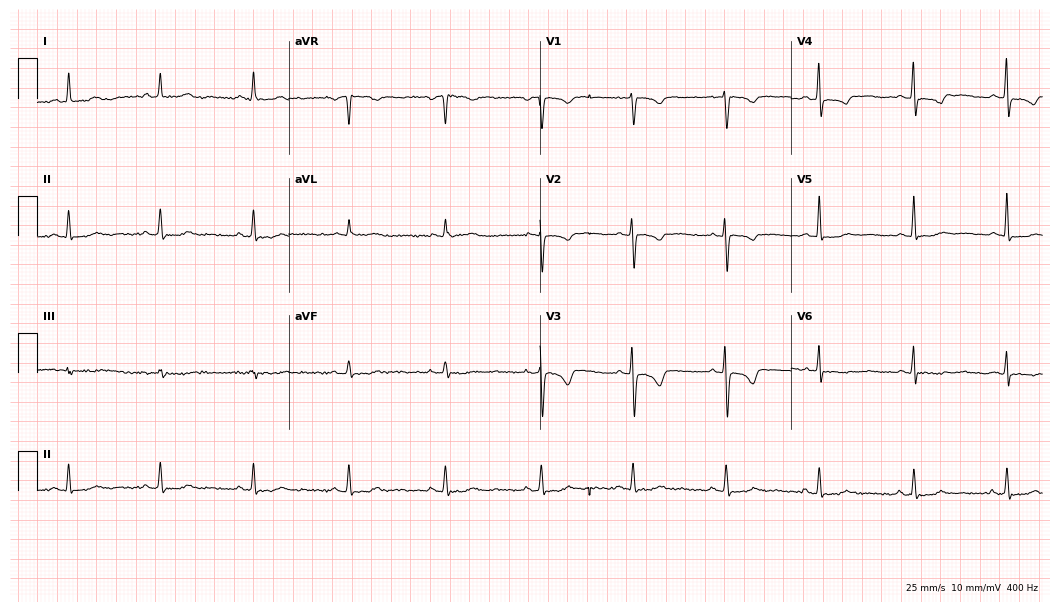
Standard 12-lead ECG recorded from a 30-year-old woman (10.2-second recording at 400 Hz). Read as a normal ECG.